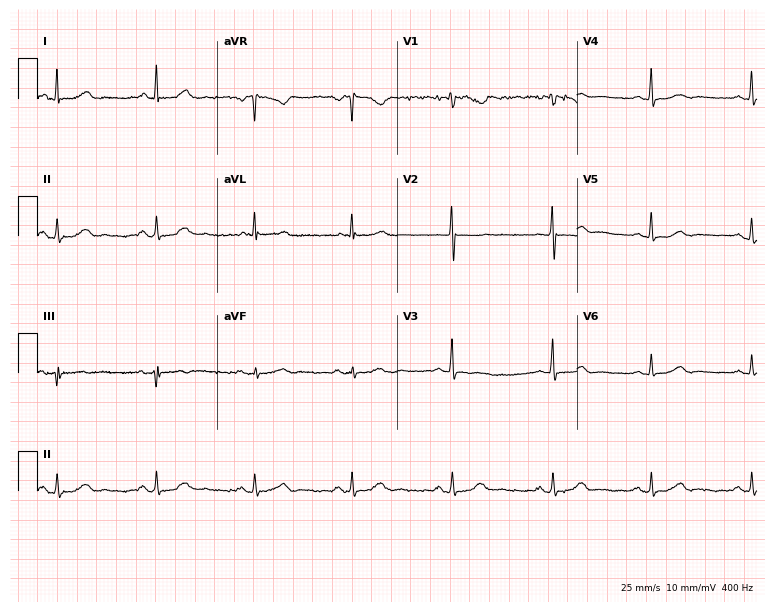
Resting 12-lead electrocardiogram. Patient: a female, 59 years old. Read as a normal ECG.